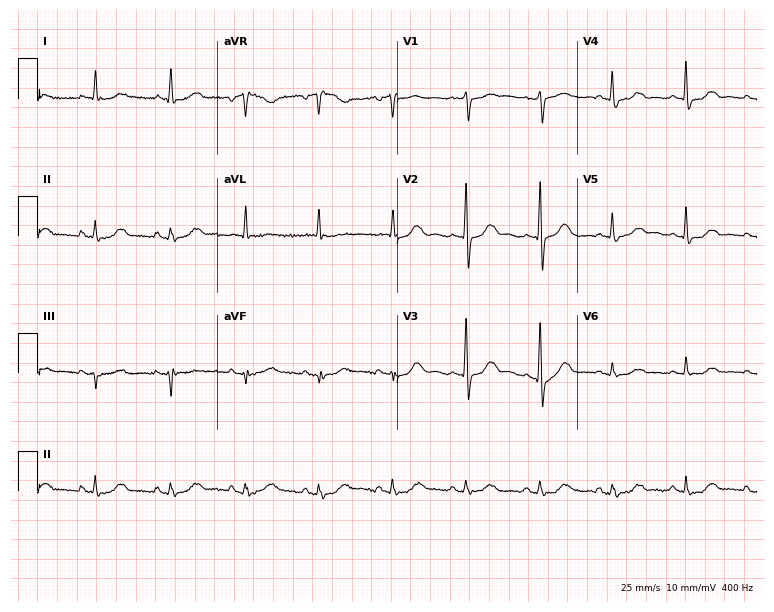
12-lead ECG from a 66-year-old female. Recorded interpretation: within normal limits.